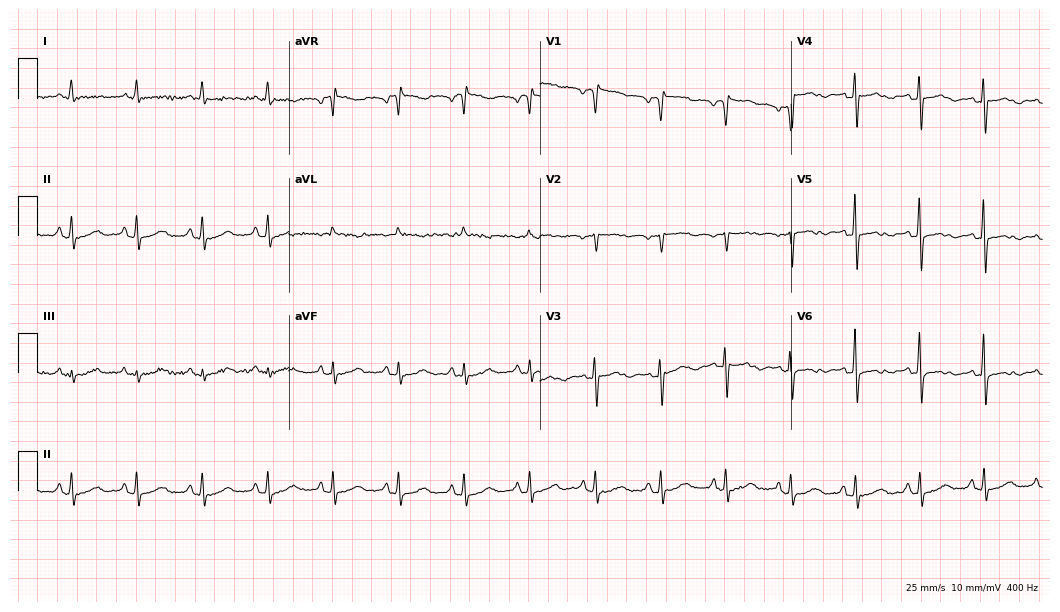
12-lead ECG from an 81-year-old female (10.2-second recording at 400 Hz). No first-degree AV block, right bundle branch block, left bundle branch block, sinus bradycardia, atrial fibrillation or sinus tachycardia recorded for this tracing. Only these six findings were labelled.